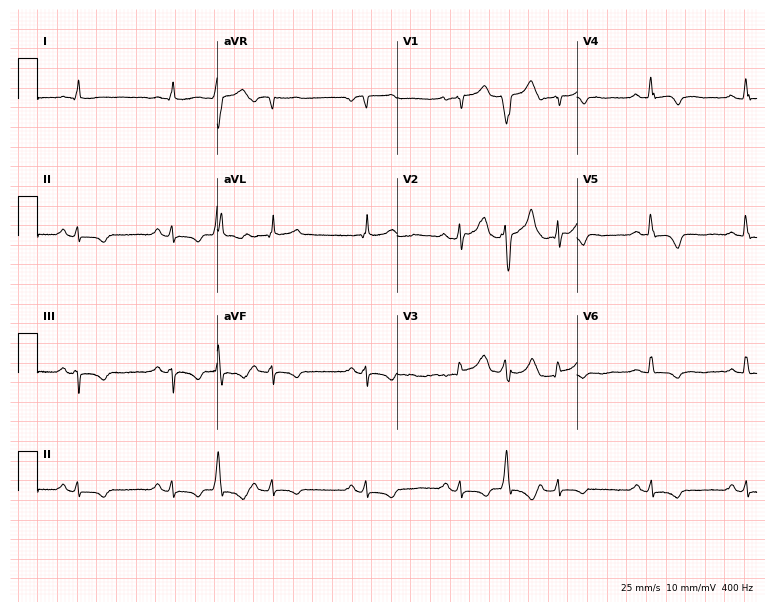
12-lead ECG (7.3-second recording at 400 Hz) from a male, 63 years old. Screened for six findings — first-degree AV block, right bundle branch block (RBBB), left bundle branch block (LBBB), sinus bradycardia, atrial fibrillation (AF), sinus tachycardia — none is recorded. Only these six findings were labelled.